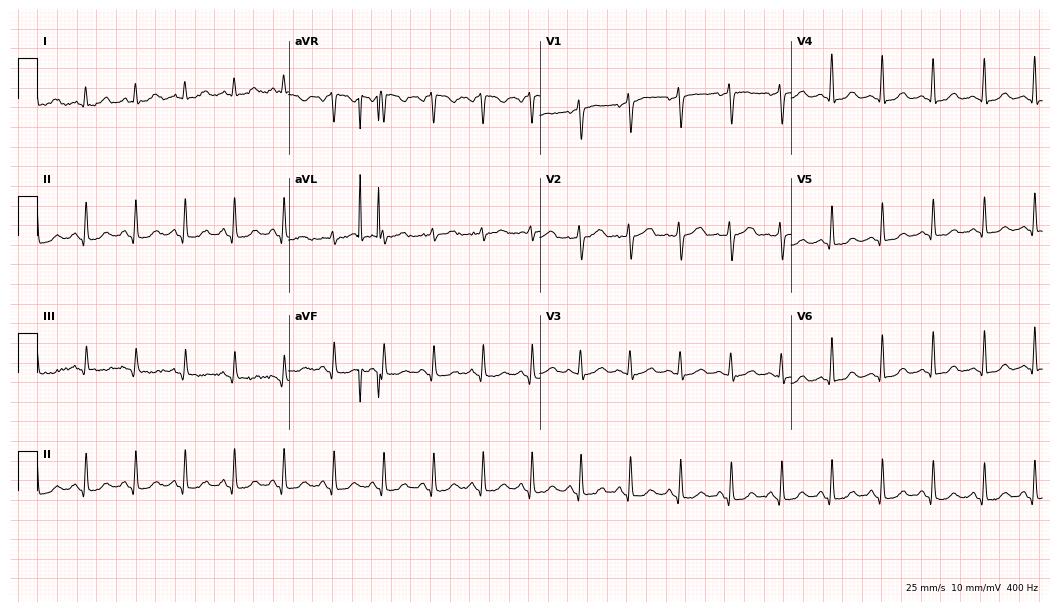
Electrocardiogram (10.2-second recording at 400 Hz), a 39-year-old woman. Of the six screened findings (first-degree AV block, right bundle branch block (RBBB), left bundle branch block (LBBB), sinus bradycardia, atrial fibrillation (AF), sinus tachycardia), none is recorded.